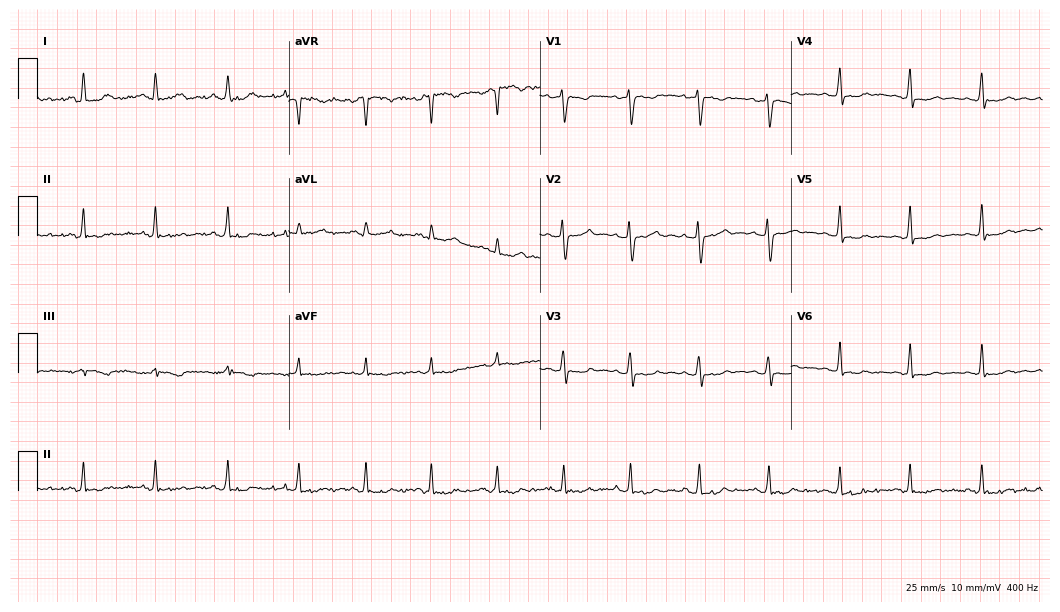
Electrocardiogram, a woman, 34 years old. Of the six screened findings (first-degree AV block, right bundle branch block (RBBB), left bundle branch block (LBBB), sinus bradycardia, atrial fibrillation (AF), sinus tachycardia), none is recorded.